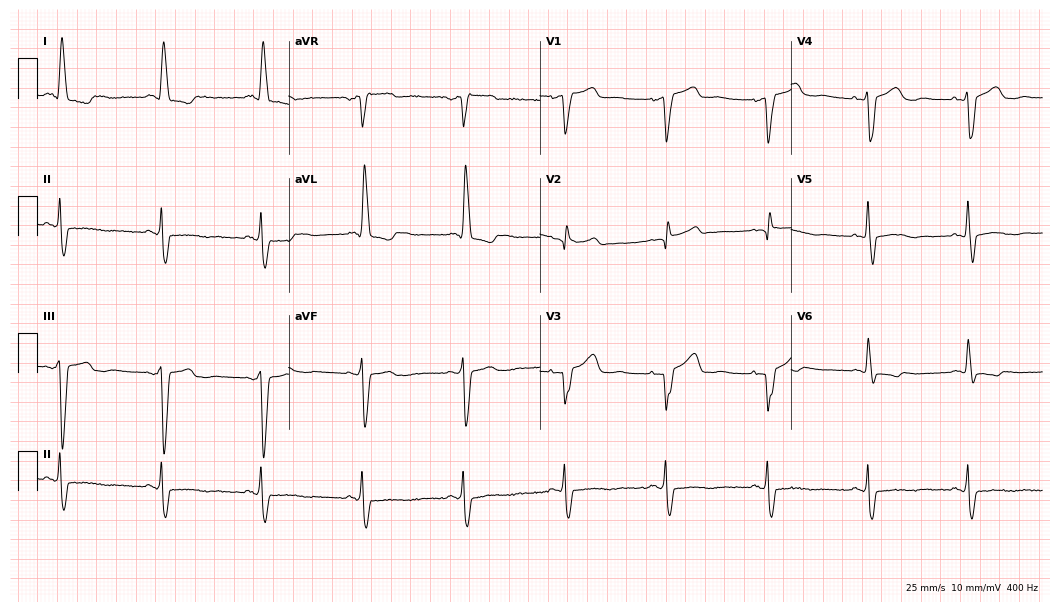
12-lead ECG from a male, 84 years old (10.2-second recording at 400 Hz). No first-degree AV block, right bundle branch block, left bundle branch block, sinus bradycardia, atrial fibrillation or sinus tachycardia recorded for this tracing. Findings outside these six are not listed.